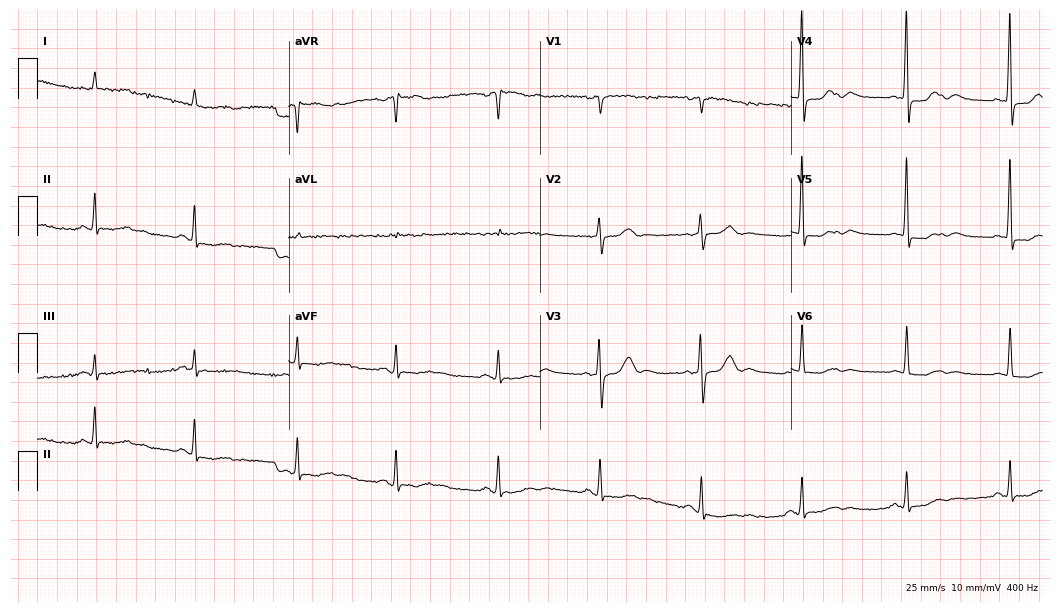
ECG (10.2-second recording at 400 Hz) — an 81-year-old female. Screened for six findings — first-degree AV block, right bundle branch block, left bundle branch block, sinus bradycardia, atrial fibrillation, sinus tachycardia — none is recorded. Findings outside these six are not listed.